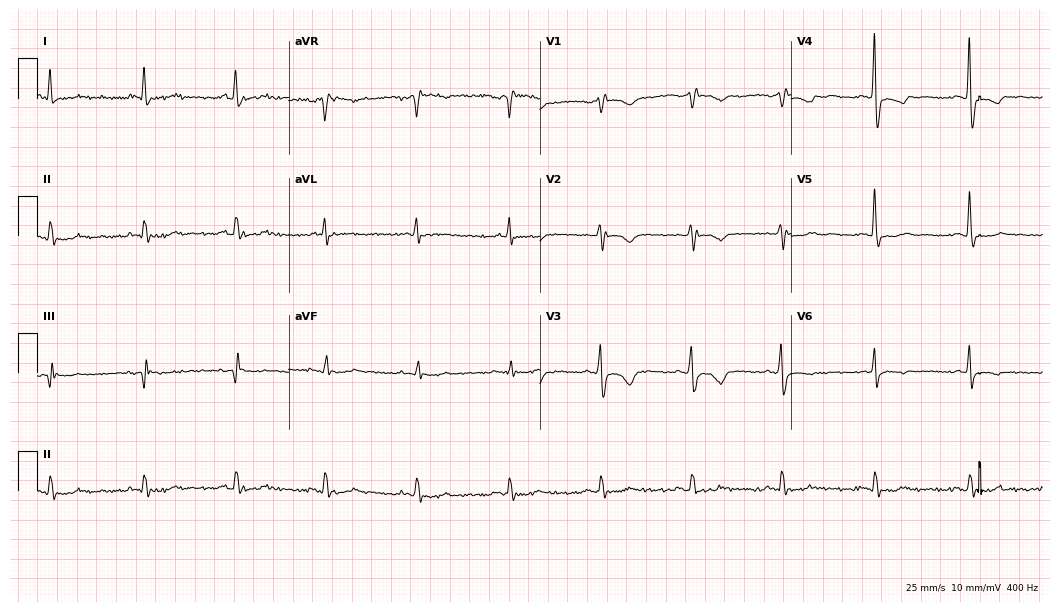
ECG (10.2-second recording at 400 Hz) — a female patient, 68 years old. Screened for six findings — first-degree AV block, right bundle branch block, left bundle branch block, sinus bradycardia, atrial fibrillation, sinus tachycardia — none is recorded. Only these six findings were labelled.